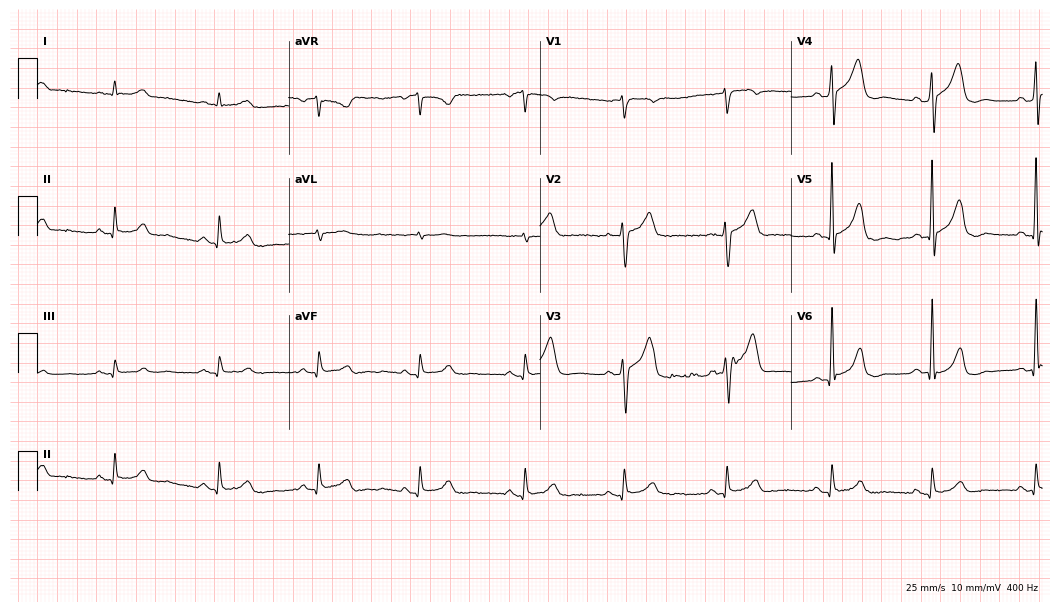
12-lead ECG from a 65-year-old man. Screened for six findings — first-degree AV block, right bundle branch block, left bundle branch block, sinus bradycardia, atrial fibrillation, sinus tachycardia — none is recorded. Other findings, if any, are not listed.